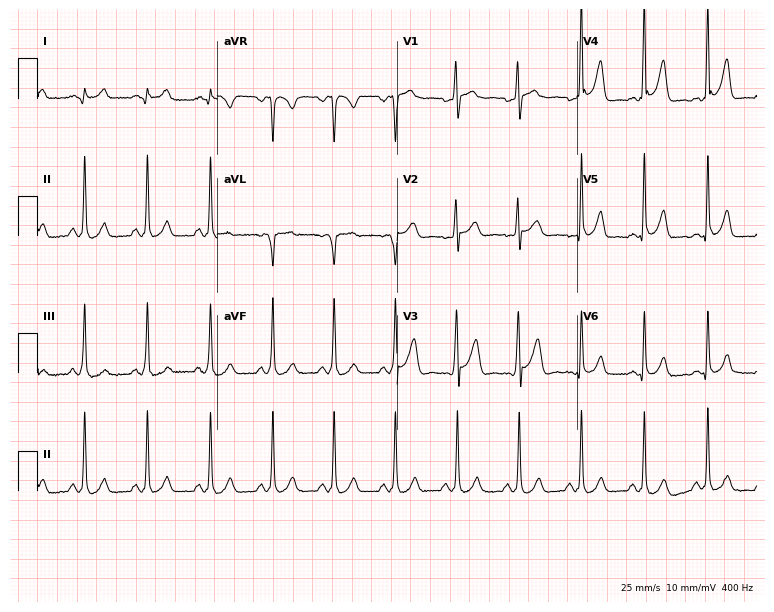
Electrocardiogram, a 27-year-old man. Overall reading on record: normal ECG.